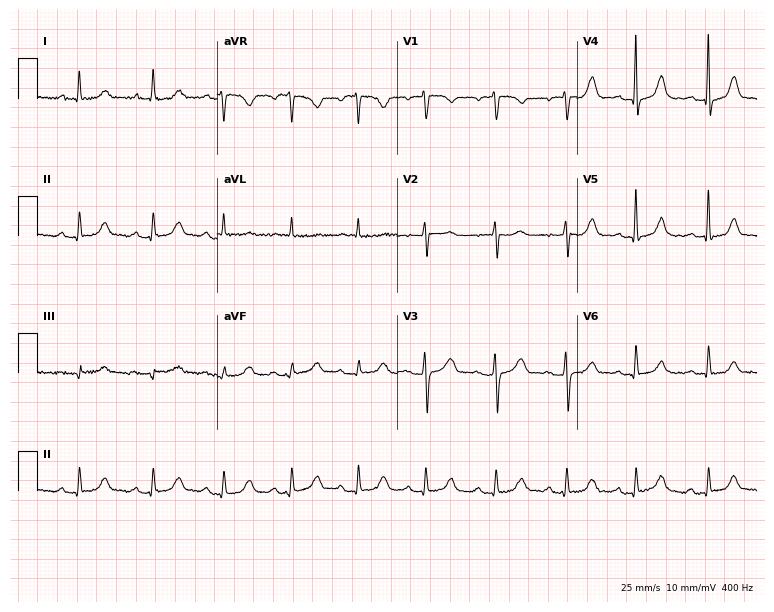
12-lead ECG (7.3-second recording at 400 Hz) from a 68-year-old female. Labelled as a normal ECG.